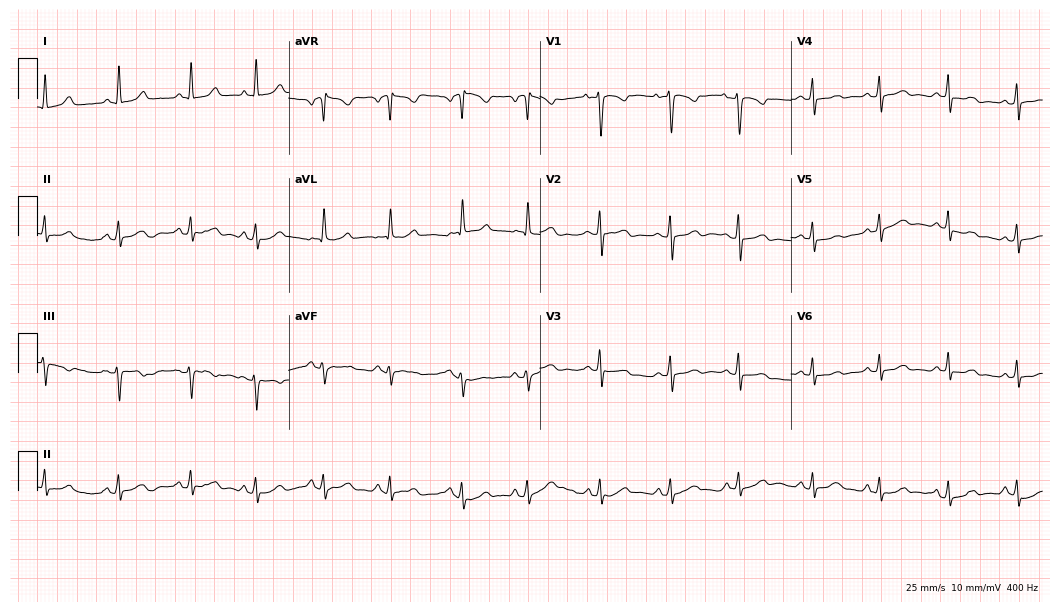
Standard 12-lead ECG recorded from a female, 44 years old (10.2-second recording at 400 Hz). Read as a normal ECG.